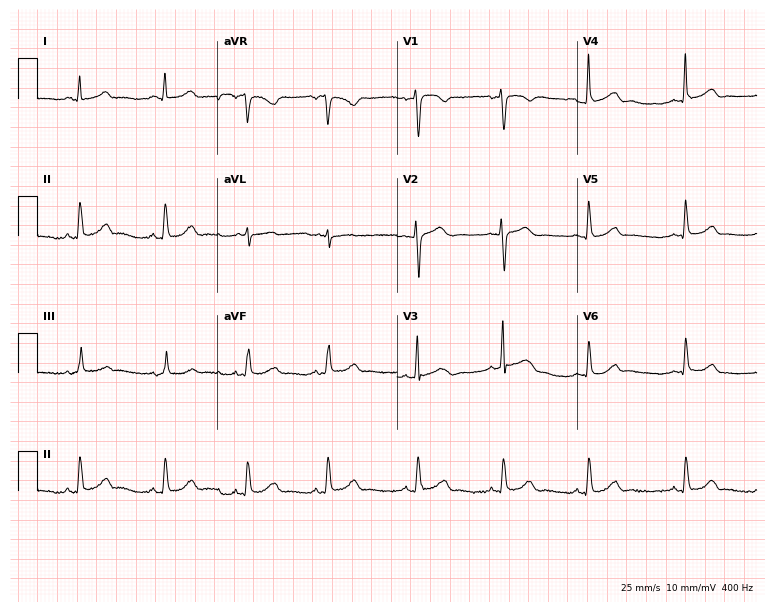
Resting 12-lead electrocardiogram. Patient: a male, 28 years old. Read as a normal ECG.